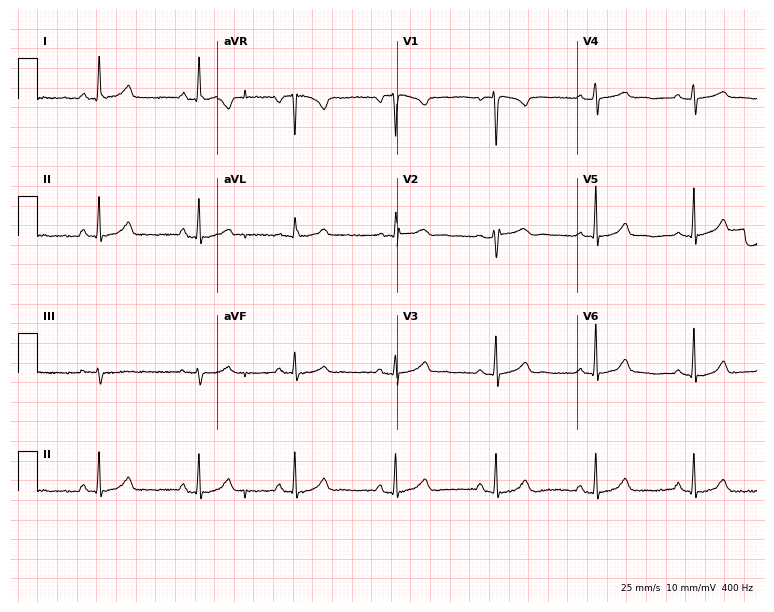
Resting 12-lead electrocardiogram. Patient: a female, 35 years old. Read as a normal ECG.